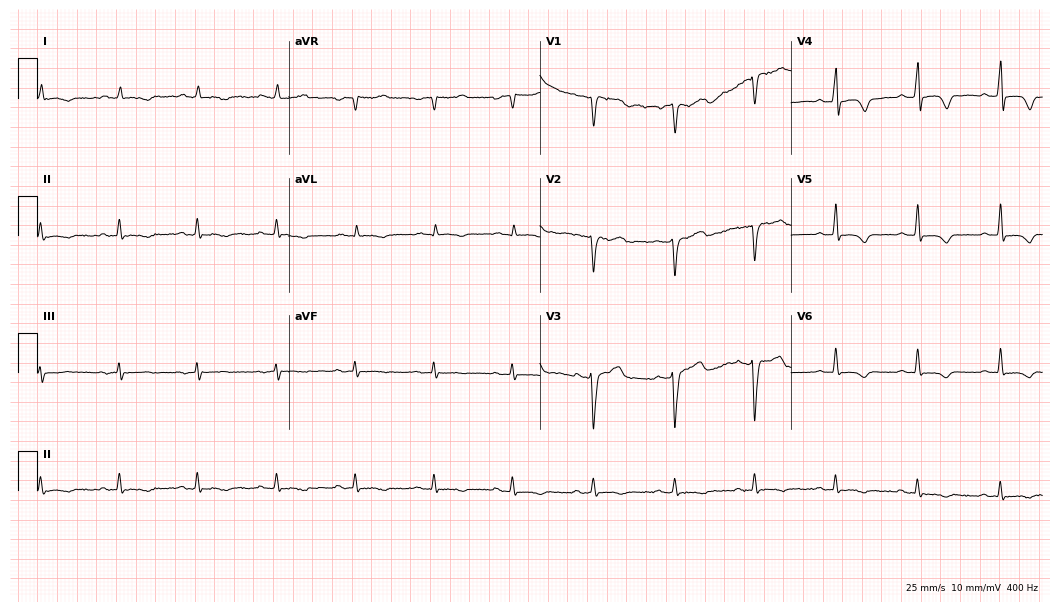
12-lead ECG from a man, 61 years old (10.2-second recording at 400 Hz). No first-degree AV block, right bundle branch block, left bundle branch block, sinus bradycardia, atrial fibrillation or sinus tachycardia recorded for this tracing. Other findings, if any, are not listed.